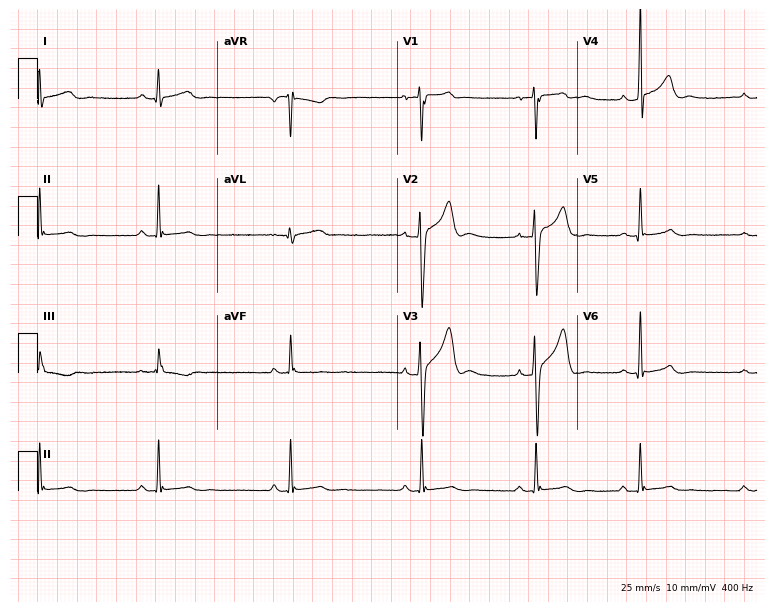
Standard 12-lead ECG recorded from a 31-year-old man. None of these six findings is recorded: first-degree AV block, right bundle branch block, left bundle branch block, sinus bradycardia, atrial fibrillation, sinus tachycardia.